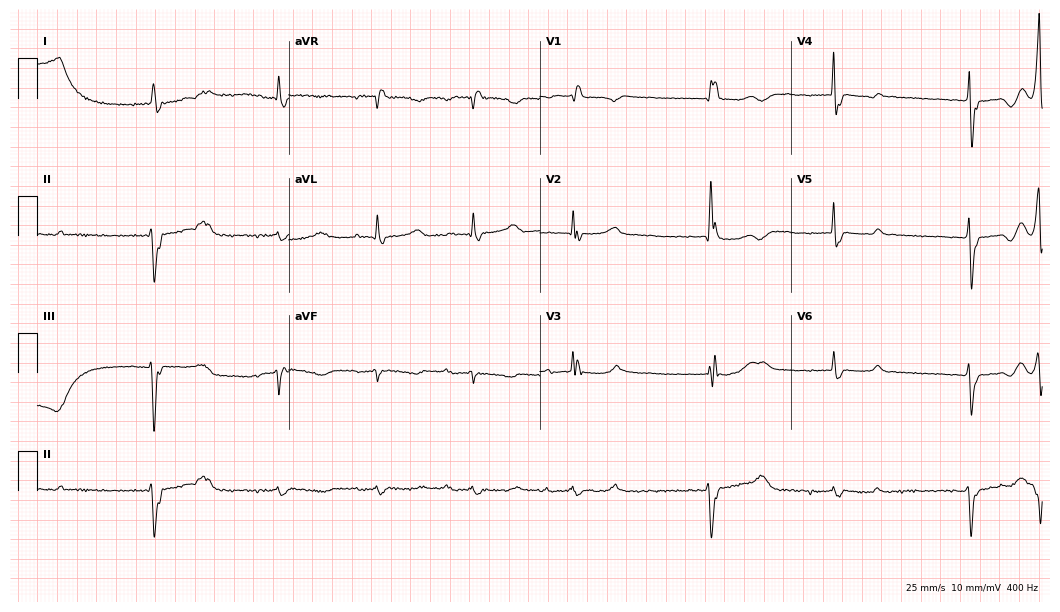
12-lead ECG from a male, 78 years old. Shows first-degree AV block, right bundle branch block, atrial fibrillation.